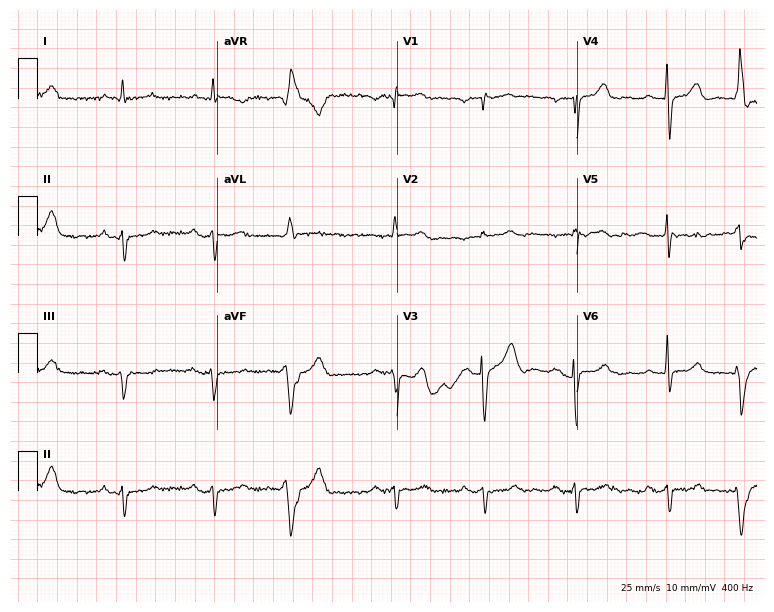
12-lead ECG from an 82-year-old male. No first-degree AV block, right bundle branch block, left bundle branch block, sinus bradycardia, atrial fibrillation or sinus tachycardia recorded for this tracing.